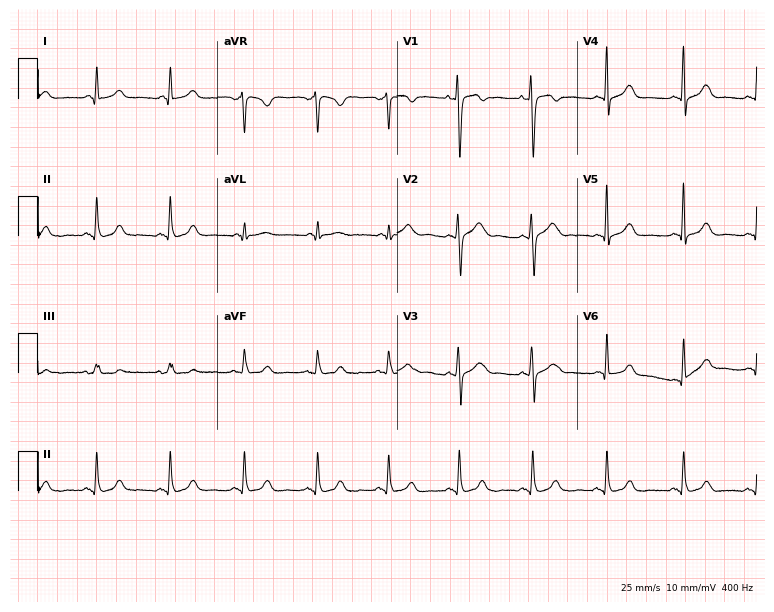
12-lead ECG (7.3-second recording at 400 Hz) from a female, 37 years old. Screened for six findings — first-degree AV block, right bundle branch block, left bundle branch block, sinus bradycardia, atrial fibrillation, sinus tachycardia — none is recorded. Other findings, if any, are not listed.